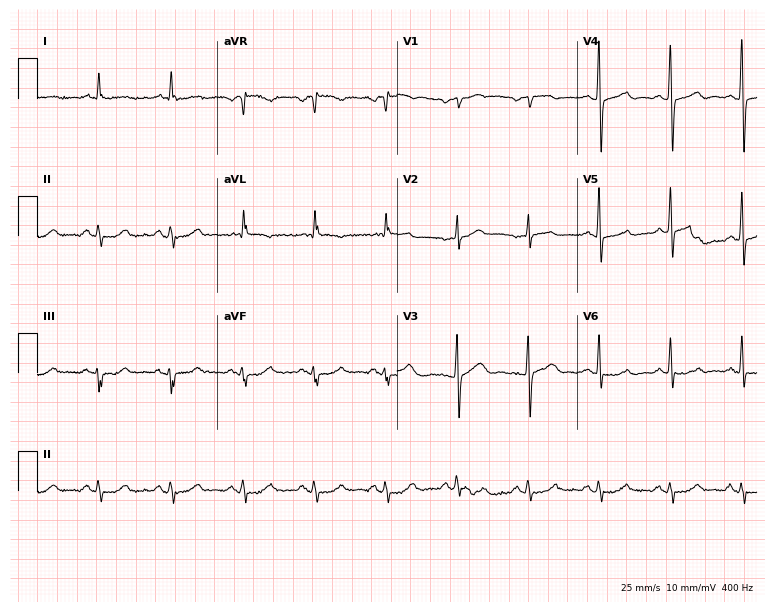
12-lead ECG from a 75-year-old man. No first-degree AV block, right bundle branch block, left bundle branch block, sinus bradycardia, atrial fibrillation or sinus tachycardia recorded for this tracing.